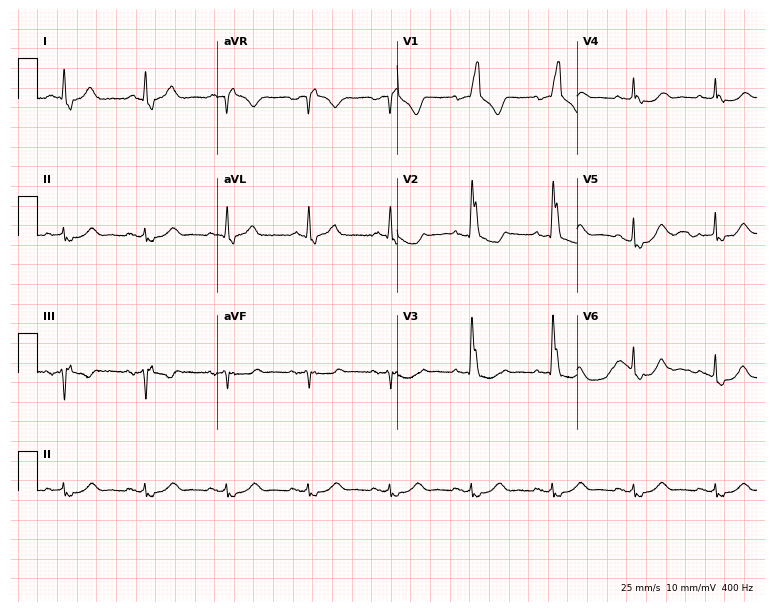
12-lead ECG (7.3-second recording at 400 Hz) from an 87-year-old woman. Findings include right bundle branch block (RBBB).